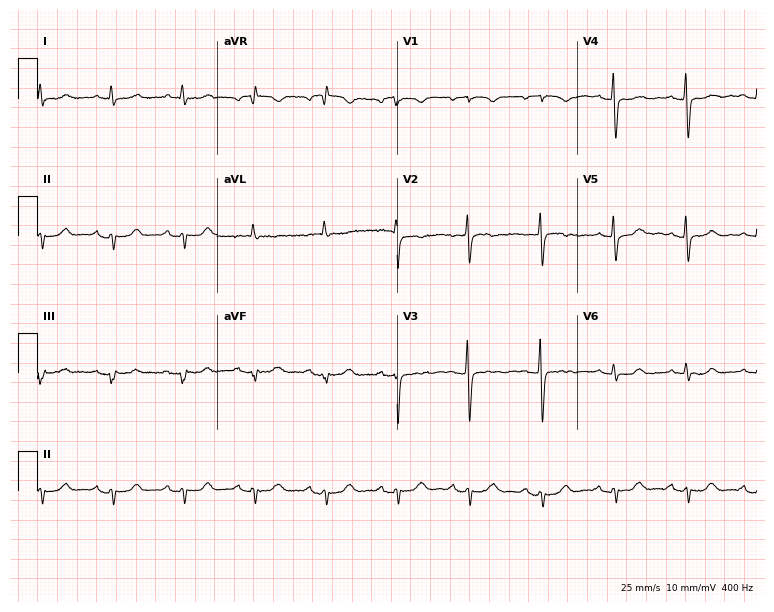
Electrocardiogram, a 63-year-old female patient. Of the six screened findings (first-degree AV block, right bundle branch block (RBBB), left bundle branch block (LBBB), sinus bradycardia, atrial fibrillation (AF), sinus tachycardia), none is recorded.